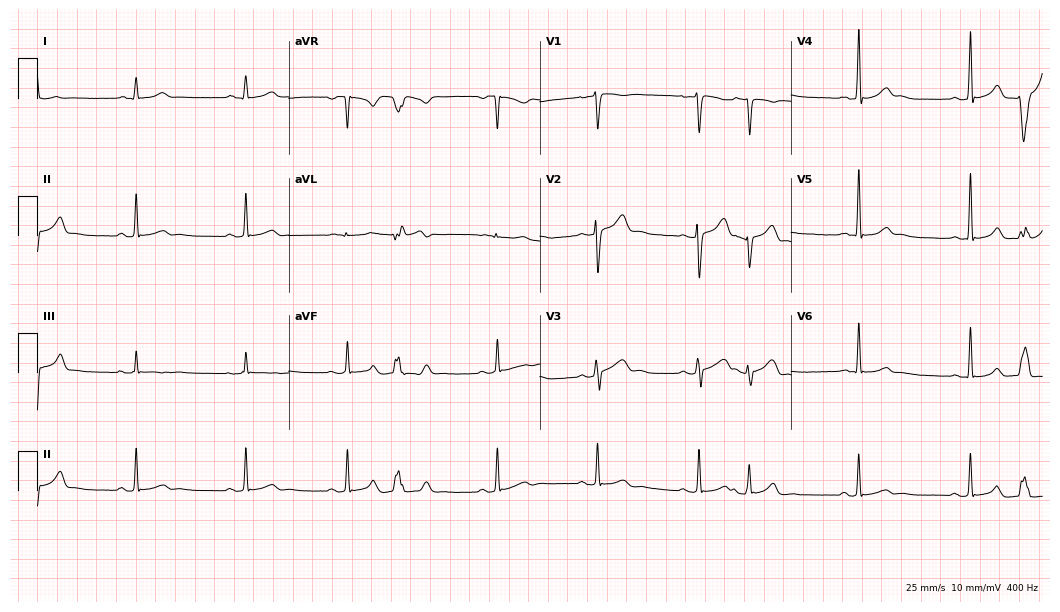
ECG — a 24-year-old male patient. Screened for six findings — first-degree AV block, right bundle branch block (RBBB), left bundle branch block (LBBB), sinus bradycardia, atrial fibrillation (AF), sinus tachycardia — none is recorded.